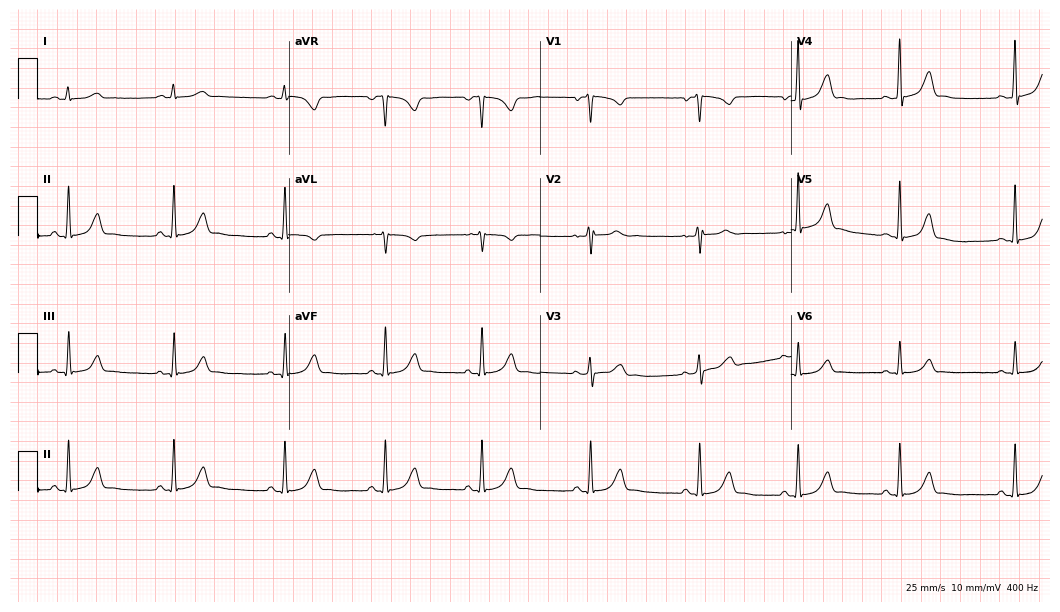
12-lead ECG from an 18-year-old woman. Labelled as a normal ECG.